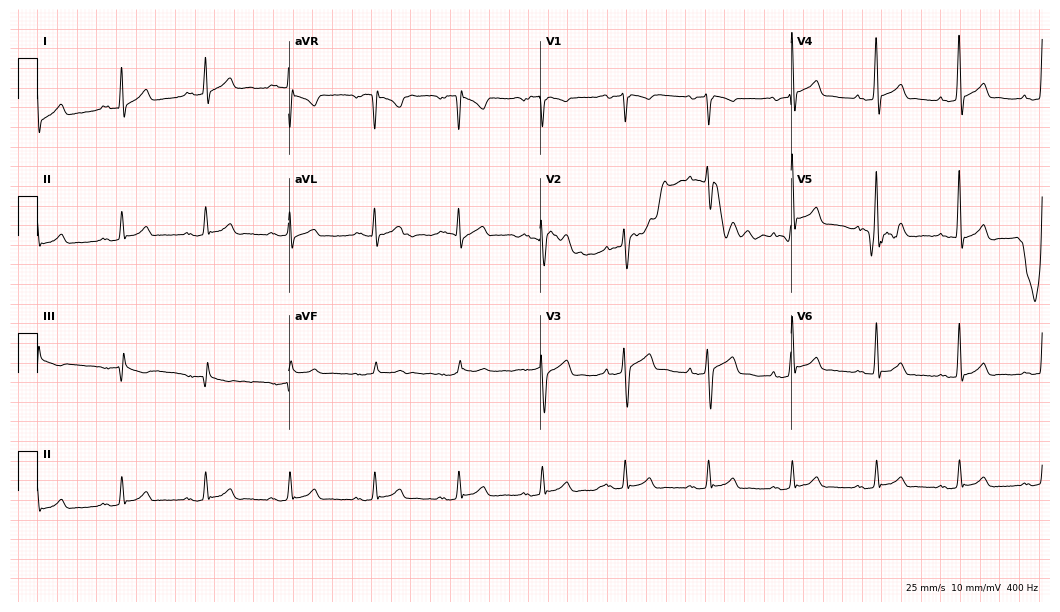
Electrocardiogram (10.2-second recording at 400 Hz), a 41-year-old male patient. Overall reading on record: normal ECG.